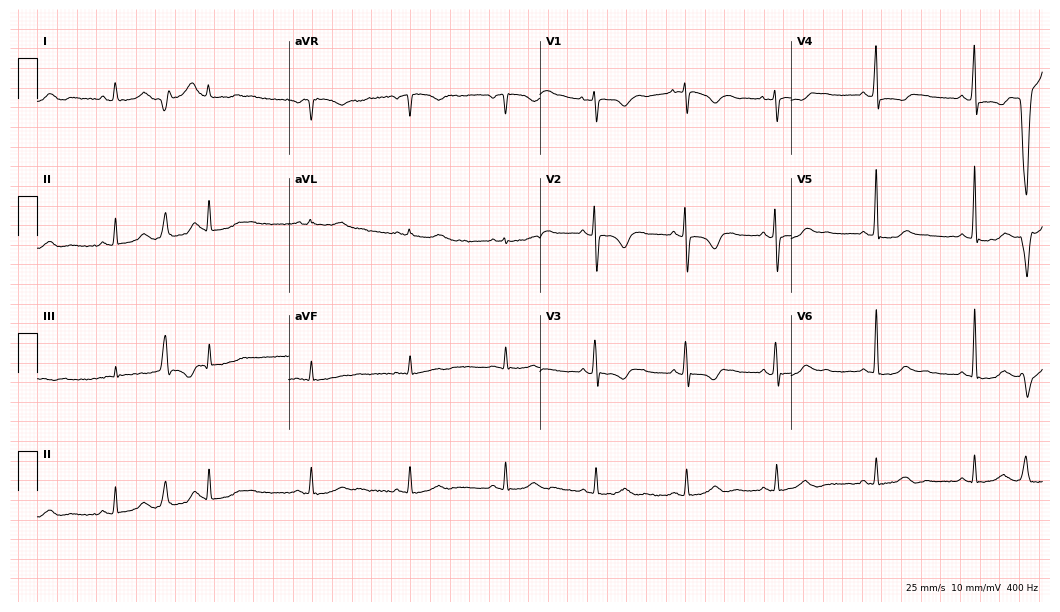
12-lead ECG from a female, 37 years old. Screened for six findings — first-degree AV block, right bundle branch block, left bundle branch block, sinus bradycardia, atrial fibrillation, sinus tachycardia — none is recorded.